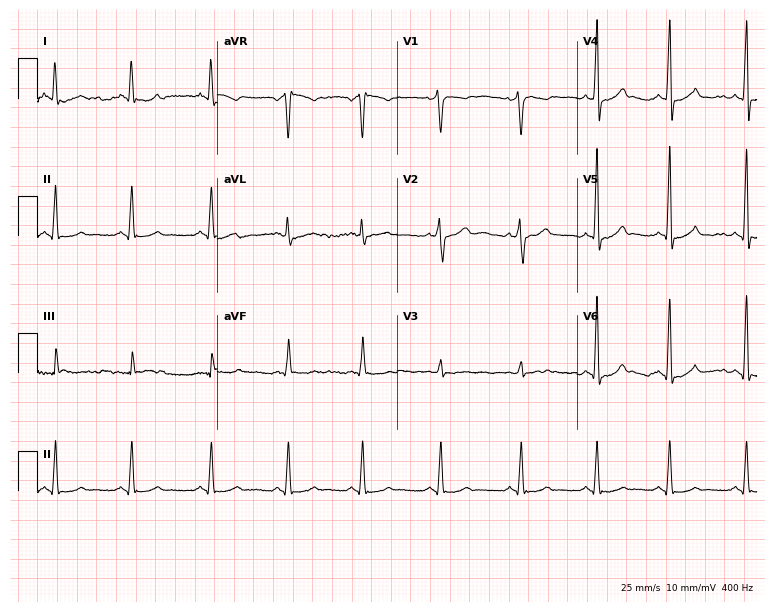
ECG (7.3-second recording at 400 Hz) — a male patient, 34 years old. Screened for six findings — first-degree AV block, right bundle branch block, left bundle branch block, sinus bradycardia, atrial fibrillation, sinus tachycardia — none is recorded.